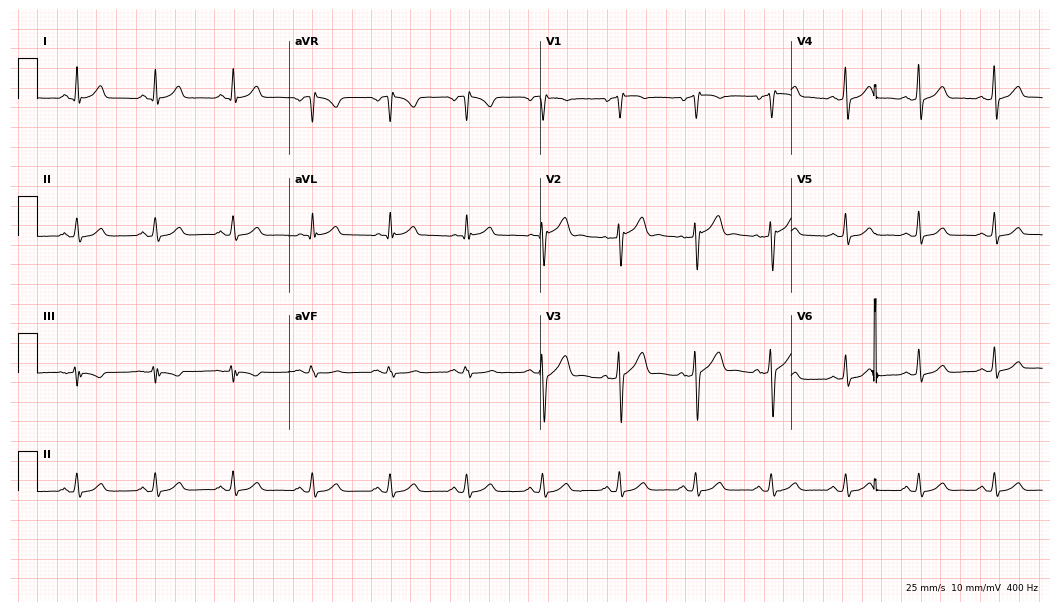
Electrocardiogram, a man, 38 years old. Of the six screened findings (first-degree AV block, right bundle branch block, left bundle branch block, sinus bradycardia, atrial fibrillation, sinus tachycardia), none is recorded. Only these six findings were labelled.